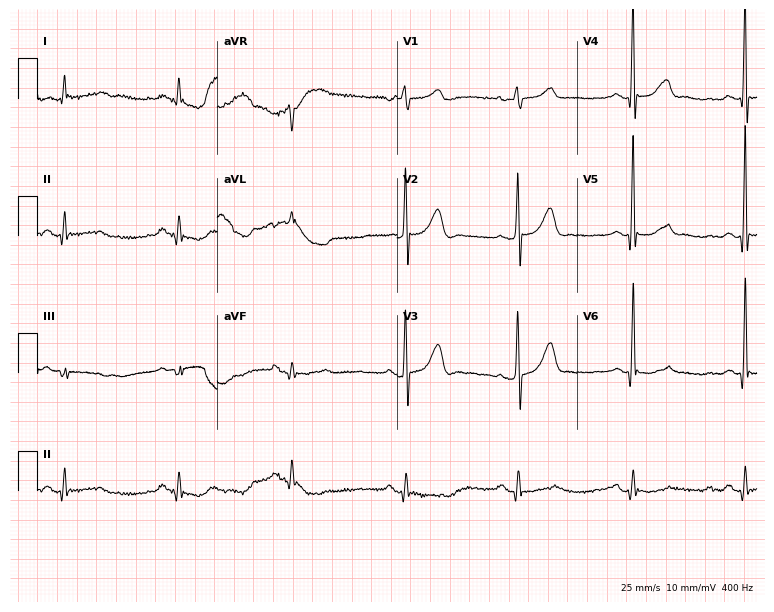
ECG — a 73-year-old male. Screened for six findings — first-degree AV block, right bundle branch block, left bundle branch block, sinus bradycardia, atrial fibrillation, sinus tachycardia — none is recorded. Other findings, if any, are not listed.